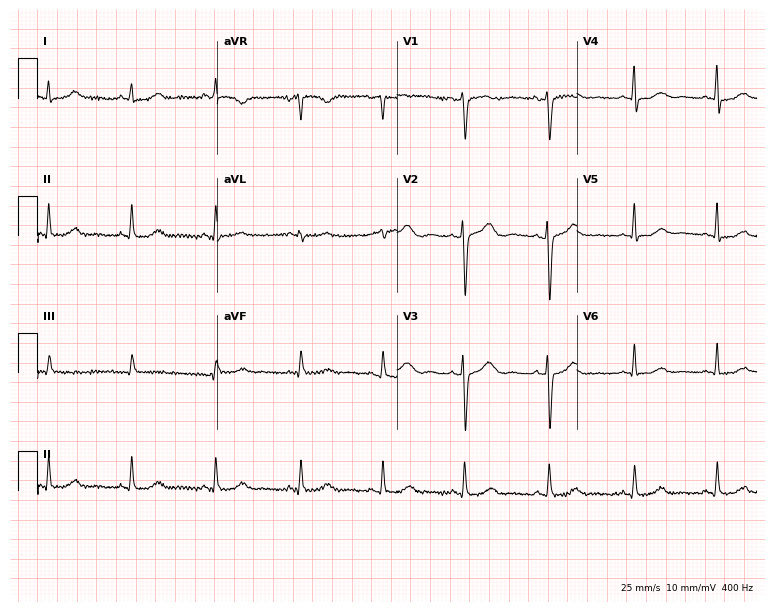
Standard 12-lead ECG recorded from a female patient, 30 years old (7.3-second recording at 400 Hz). Read as a normal ECG.